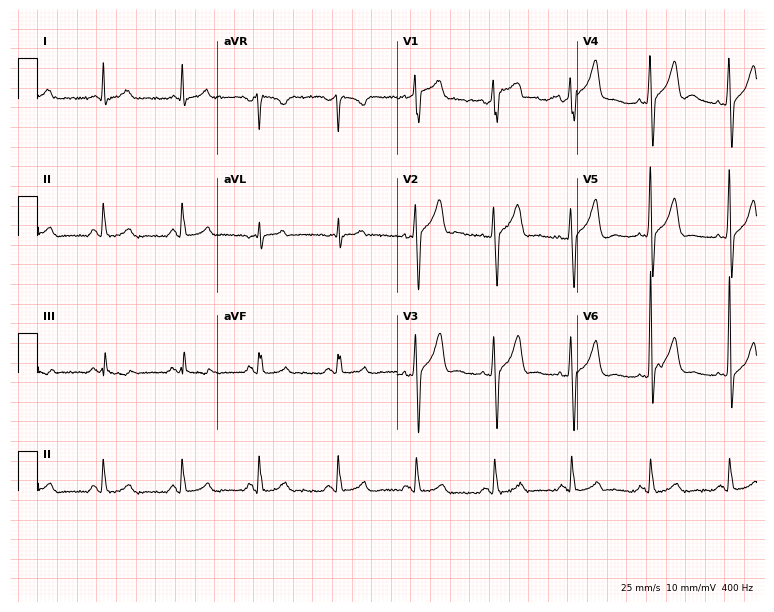
Standard 12-lead ECG recorded from a 53-year-old male patient. Read as a normal ECG.